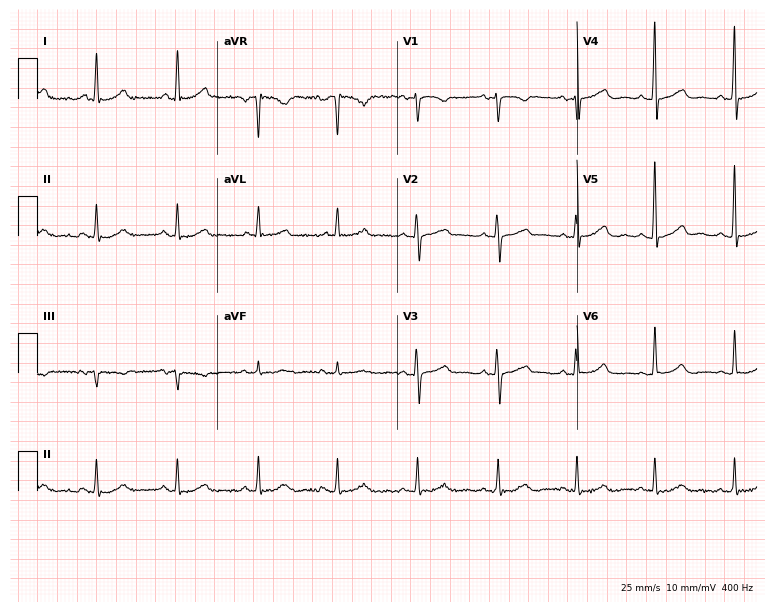
Standard 12-lead ECG recorded from a female, 61 years old. Read as a normal ECG.